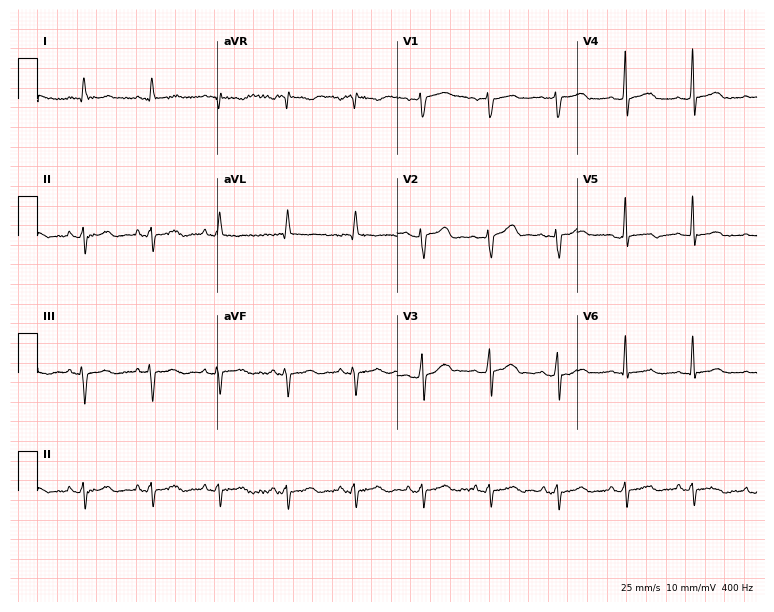
Standard 12-lead ECG recorded from a woman, 43 years old (7.3-second recording at 400 Hz). None of these six findings is recorded: first-degree AV block, right bundle branch block, left bundle branch block, sinus bradycardia, atrial fibrillation, sinus tachycardia.